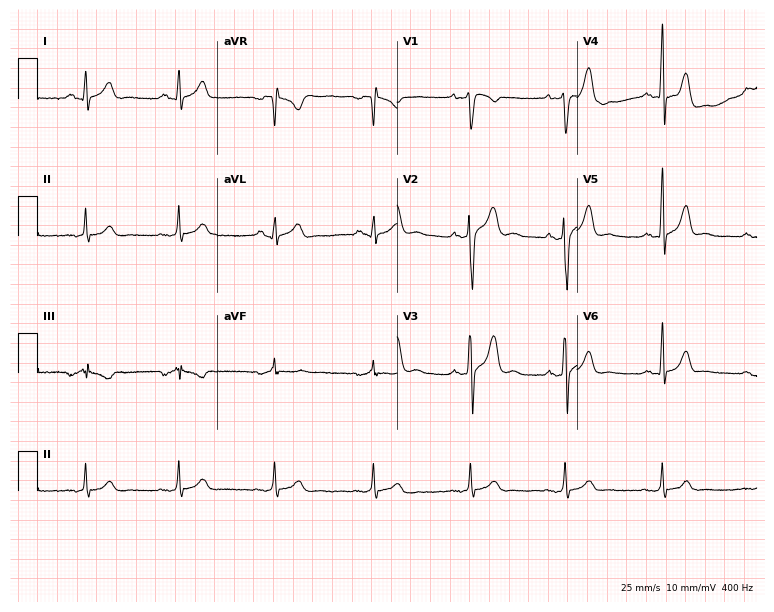
Resting 12-lead electrocardiogram (7.3-second recording at 400 Hz). Patient: a 36-year-old man. Read as a normal ECG.